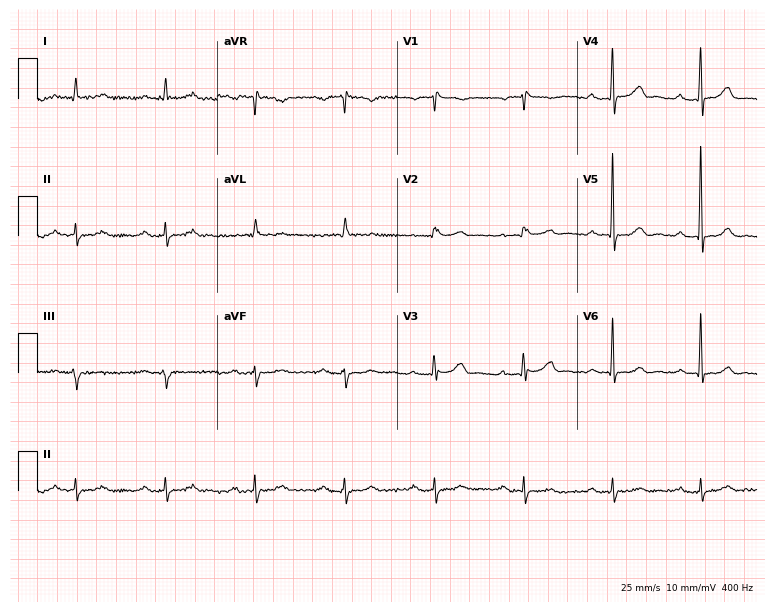
12-lead ECG from an 83-year-old male patient. Findings include first-degree AV block.